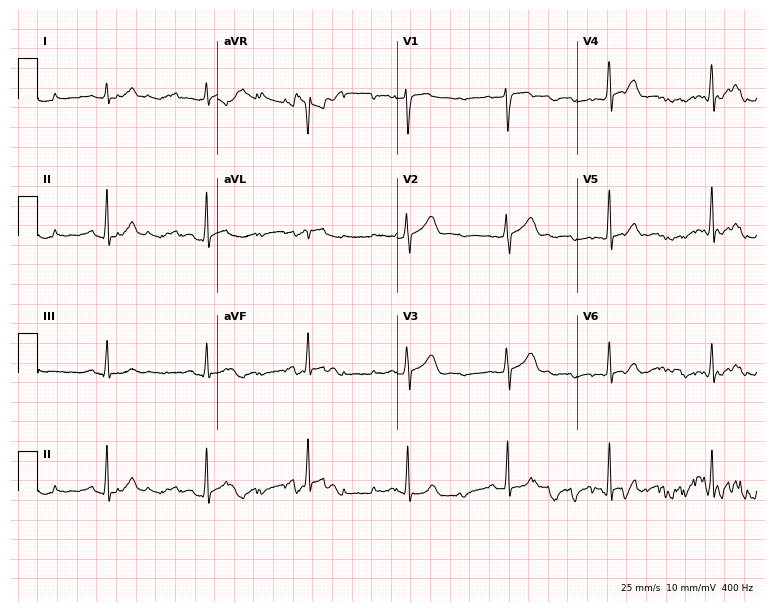
Resting 12-lead electrocardiogram. Patient: a male, 52 years old. Read as a normal ECG.